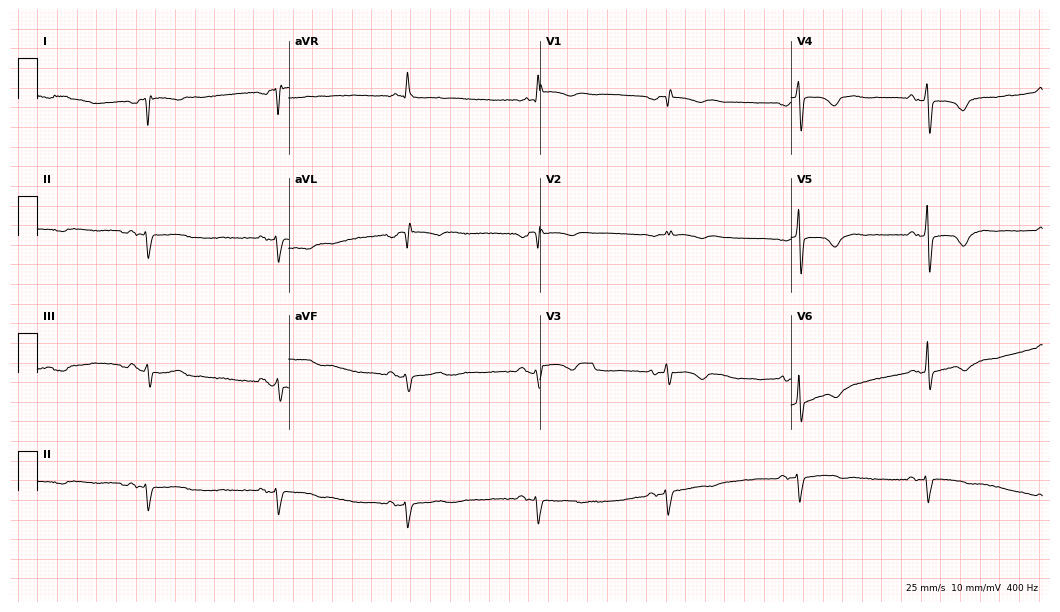
12-lead ECG (10.2-second recording at 400 Hz) from a female, 75 years old. Screened for six findings — first-degree AV block, right bundle branch block, left bundle branch block, sinus bradycardia, atrial fibrillation, sinus tachycardia — none is recorded. Other findings, if any, are not listed.